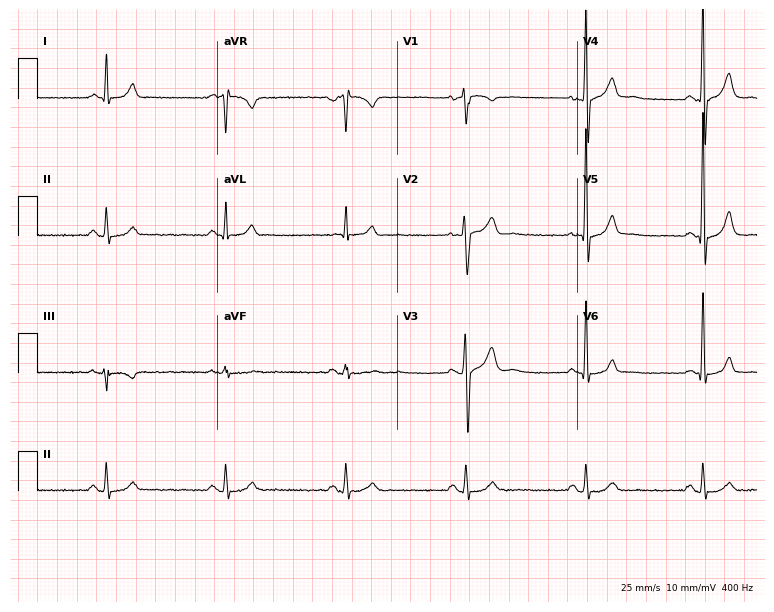
12-lead ECG from a 42-year-old man. Shows sinus bradycardia (a sinus rate of 50 beats per minute or less).